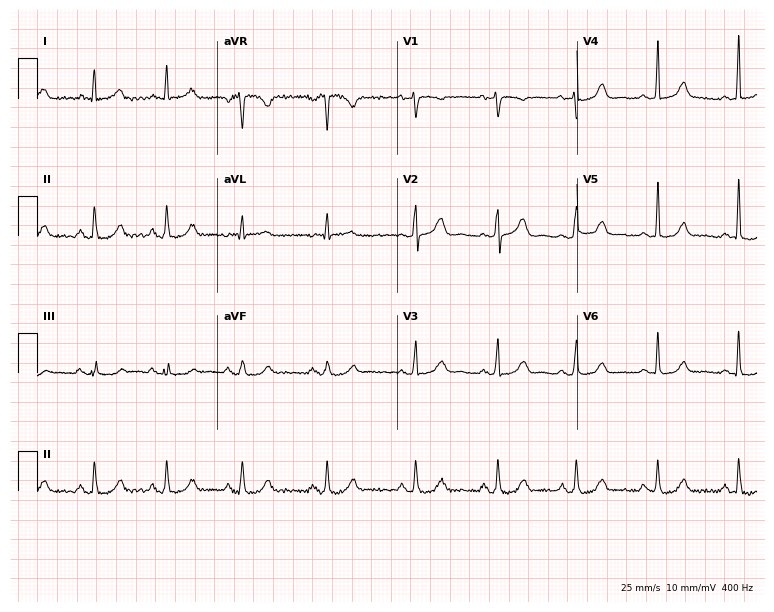
12-lead ECG from a woman, 40 years old. No first-degree AV block, right bundle branch block, left bundle branch block, sinus bradycardia, atrial fibrillation or sinus tachycardia recorded for this tracing. Findings outside these six are not listed.